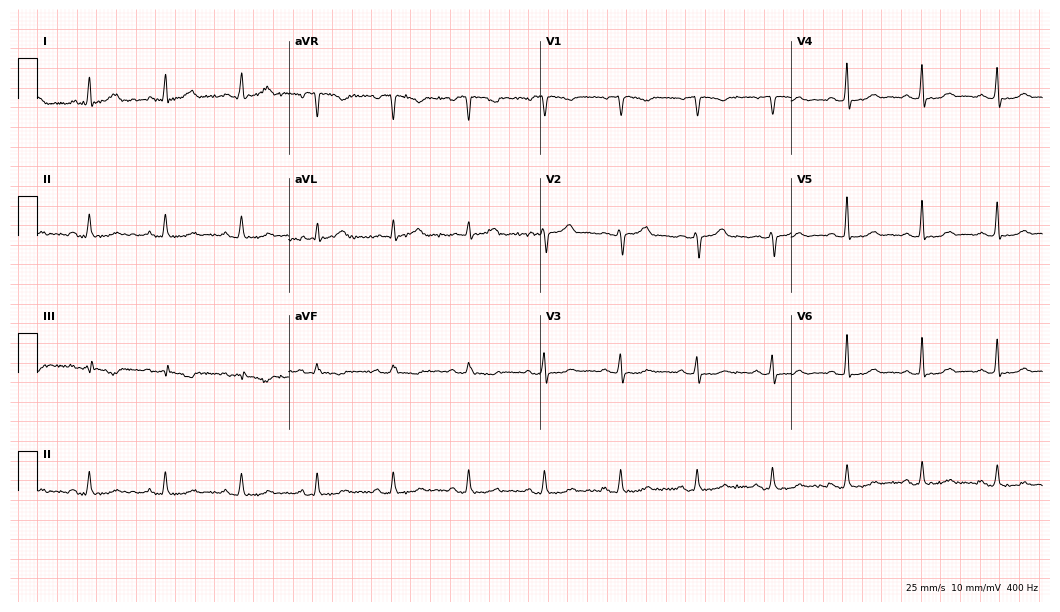
Standard 12-lead ECG recorded from a female patient, 58 years old (10.2-second recording at 400 Hz). None of these six findings is recorded: first-degree AV block, right bundle branch block, left bundle branch block, sinus bradycardia, atrial fibrillation, sinus tachycardia.